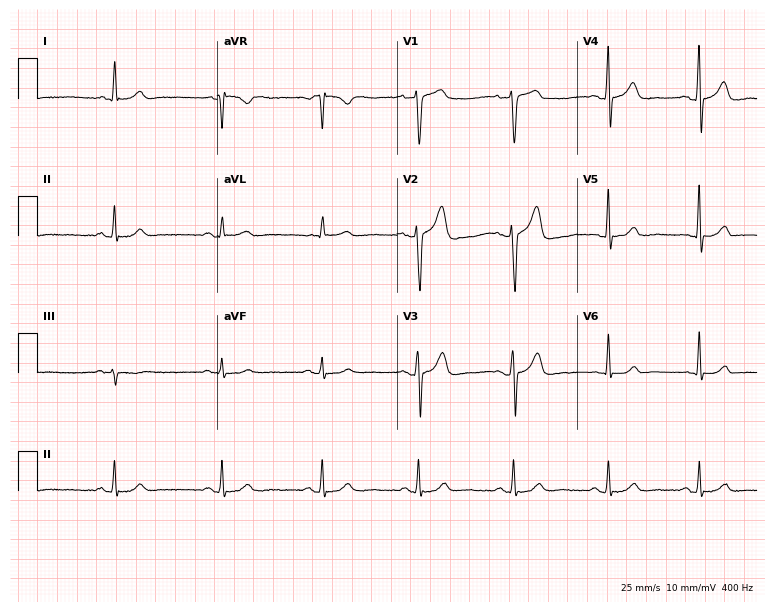
Resting 12-lead electrocardiogram (7.3-second recording at 400 Hz). Patient: a 60-year-old male. Read as a normal ECG.